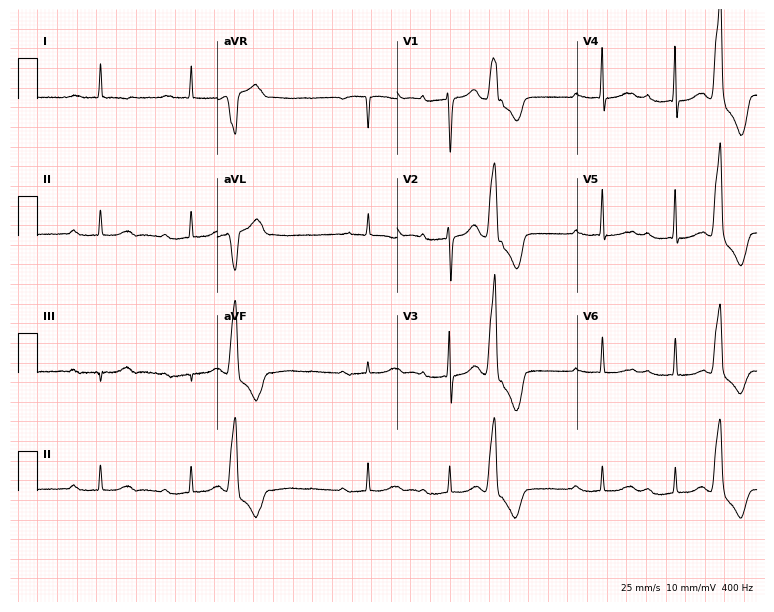
ECG (7.3-second recording at 400 Hz) — a female patient, 73 years old. Findings include first-degree AV block.